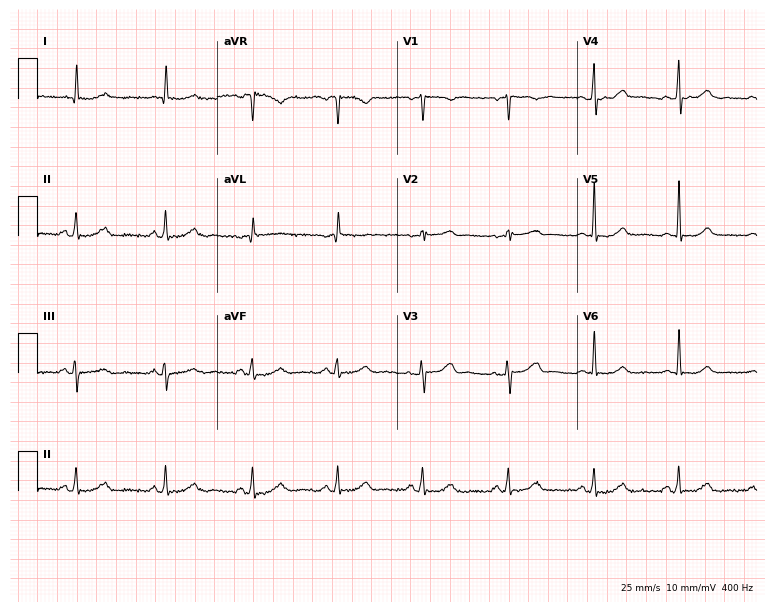
ECG — a female patient, 70 years old. Labelled as a normal ECG.